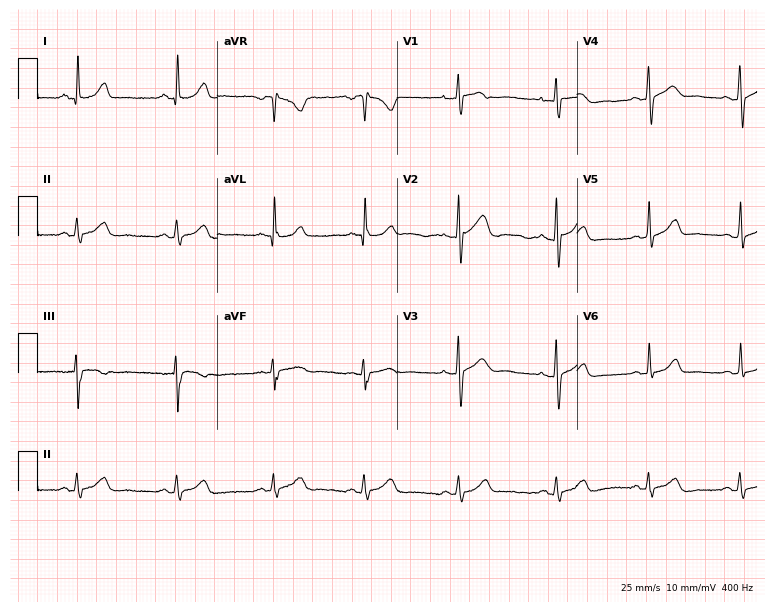
Standard 12-lead ECG recorded from a woman, 38 years old (7.3-second recording at 400 Hz). Read as a normal ECG.